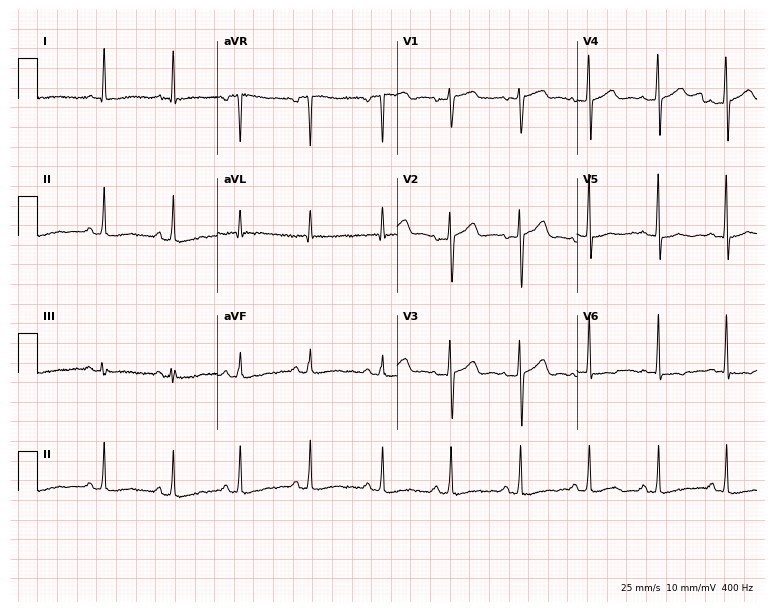
Electrocardiogram (7.3-second recording at 400 Hz), a 51-year-old woman. Of the six screened findings (first-degree AV block, right bundle branch block, left bundle branch block, sinus bradycardia, atrial fibrillation, sinus tachycardia), none is recorded. Only these six findings were labelled.